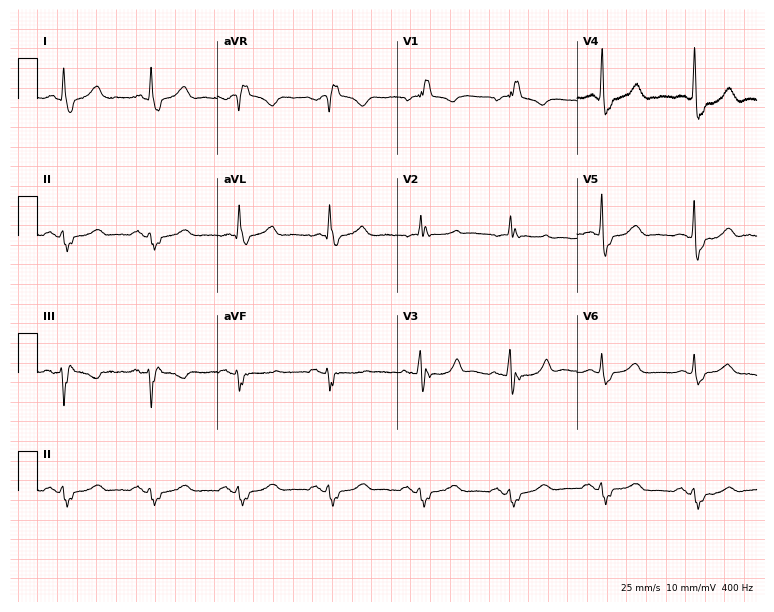
12-lead ECG from a female patient, 78 years old (7.3-second recording at 400 Hz). Shows right bundle branch block (RBBB).